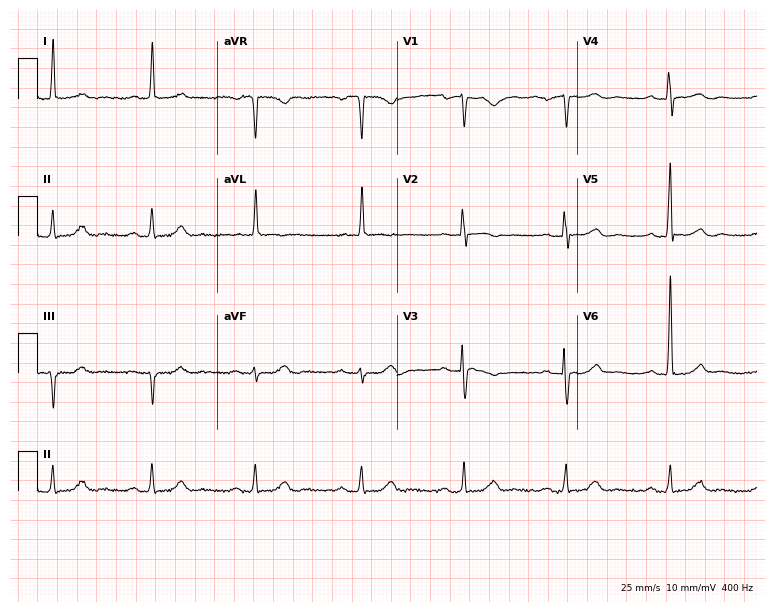
Electrocardiogram (7.3-second recording at 400 Hz), an 82-year-old female patient. Overall reading on record: normal ECG.